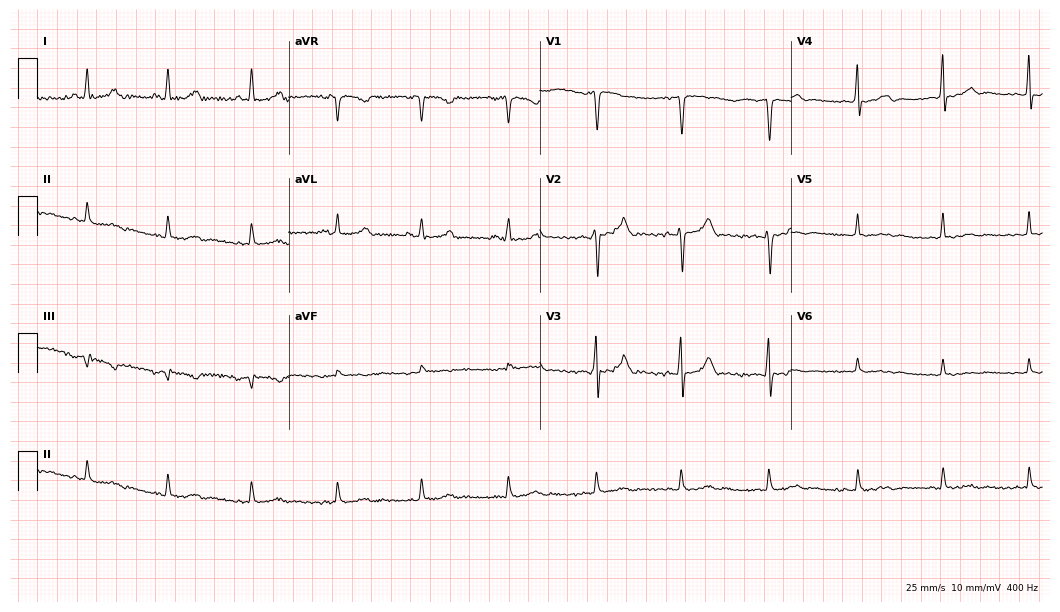
12-lead ECG (10.2-second recording at 400 Hz) from a 38-year-old female patient. Labelled as a normal ECG.